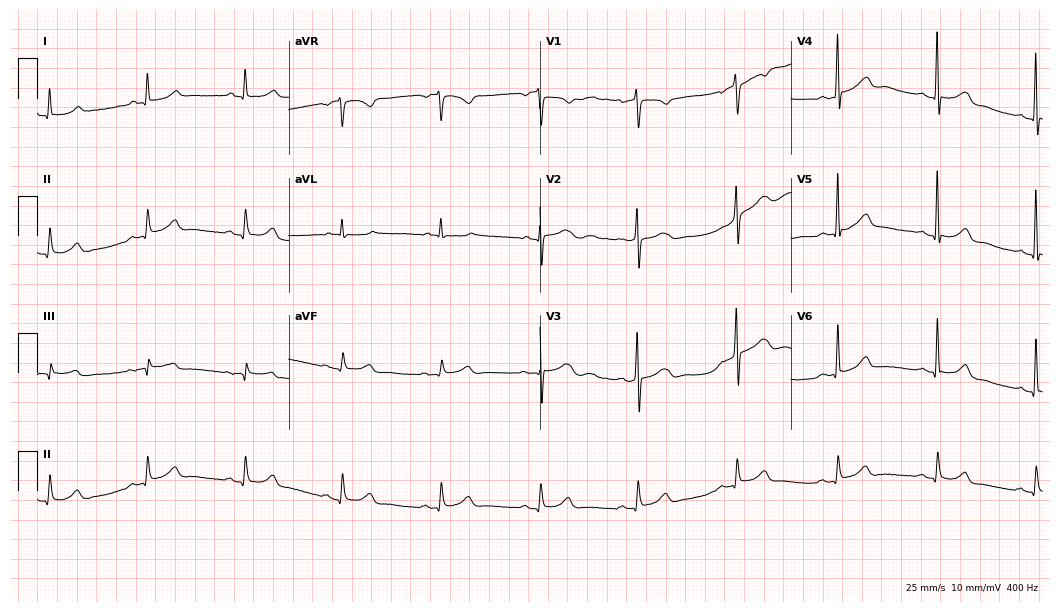
Resting 12-lead electrocardiogram (10.2-second recording at 400 Hz). Patient: a male, 68 years old. Read as a normal ECG.